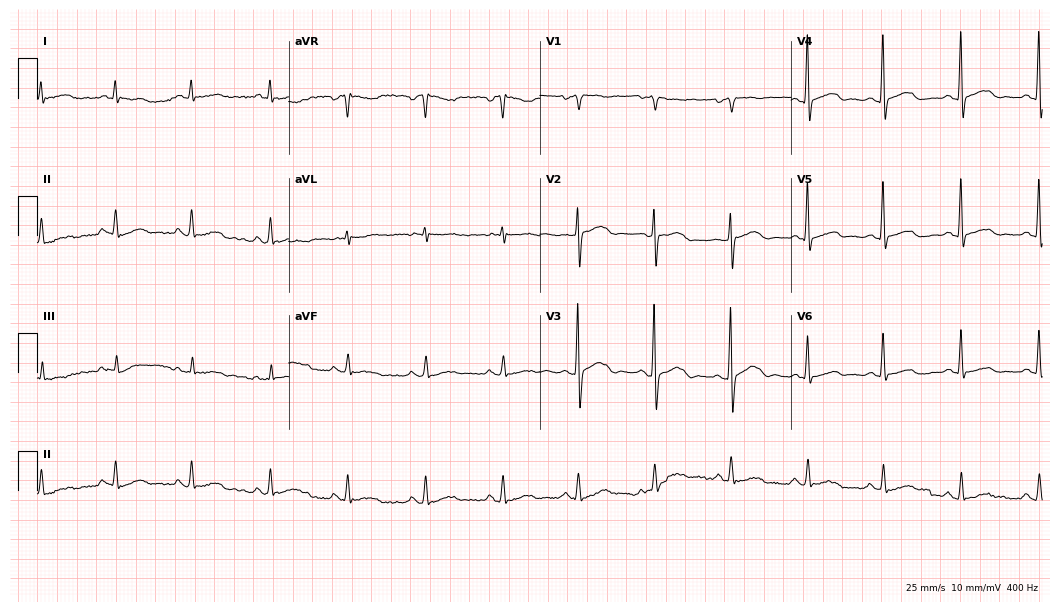
Resting 12-lead electrocardiogram (10.2-second recording at 400 Hz). Patient: a 69-year-old male. Read as a normal ECG.